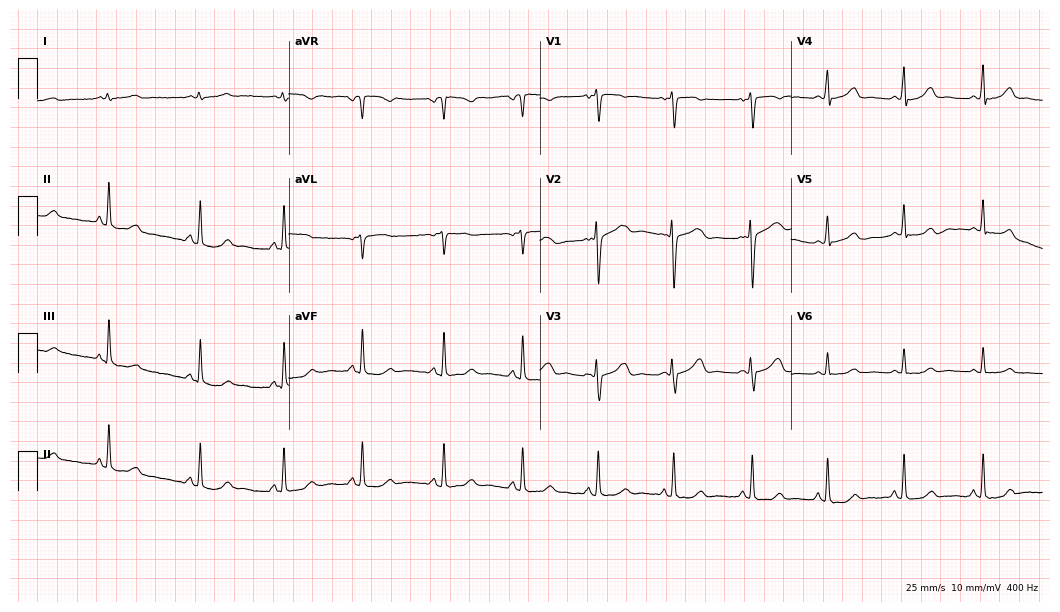
12-lead ECG from a female patient, 27 years old. No first-degree AV block, right bundle branch block, left bundle branch block, sinus bradycardia, atrial fibrillation or sinus tachycardia recorded for this tracing. Other findings, if any, are not listed.